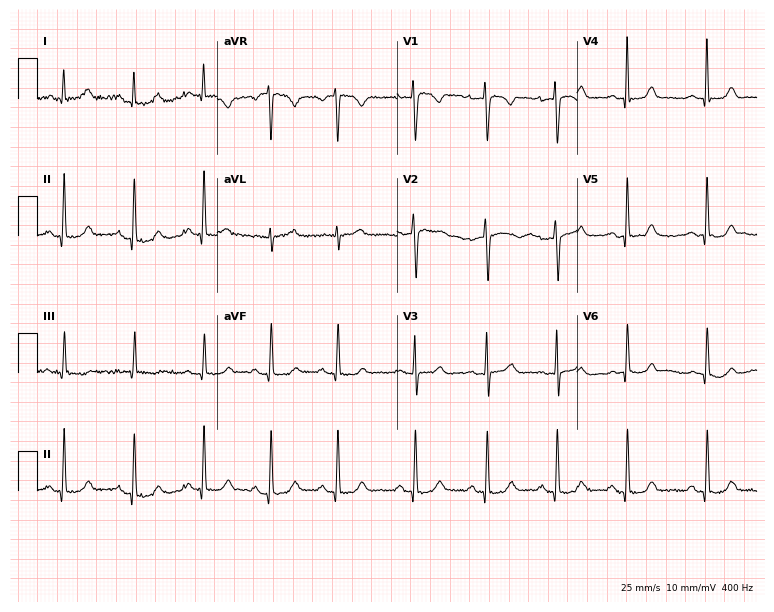
12-lead ECG from a 40-year-old woman (7.3-second recording at 400 Hz). No first-degree AV block, right bundle branch block, left bundle branch block, sinus bradycardia, atrial fibrillation or sinus tachycardia recorded for this tracing.